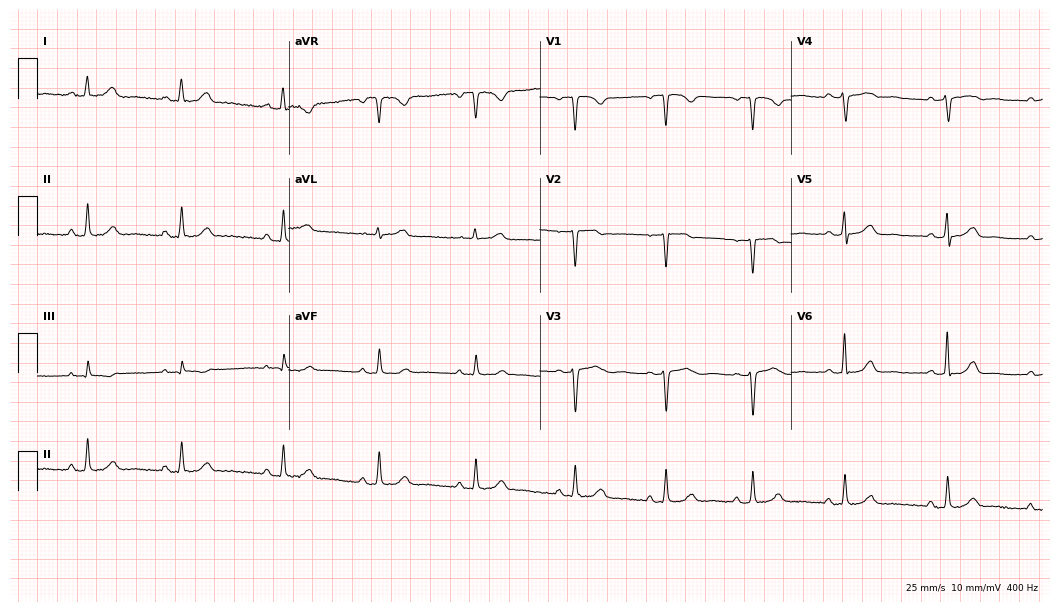
12-lead ECG from a 47-year-old female patient. Screened for six findings — first-degree AV block, right bundle branch block (RBBB), left bundle branch block (LBBB), sinus bradycardia, atrial fibrillation (AF), sinus tachycardia — none is recorded. Other findings, if any, are not listed.